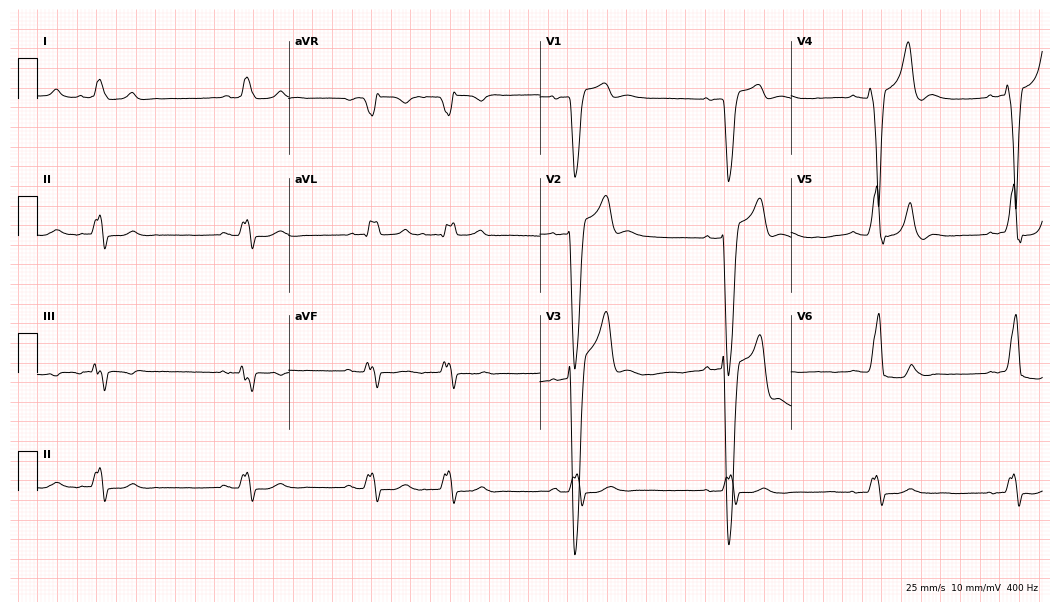
12-lead ECG from a male patient, 71 years old. No first-degree AV block, right bundle branch block, left bundle branch block, sinus bradycardia, atrial fibrillation or sinus tachycardia recorded for this tracing.